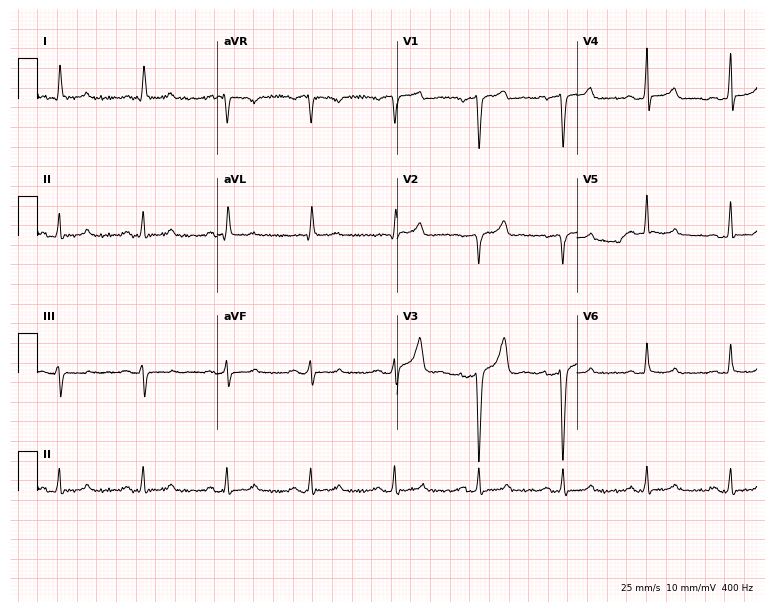
Resting 12-lead electrocardiogram (7.3-second recording at 400 Hz). Patient: a man, 68 years old. None of these six findings is recorded: first-degree AV block, right bundle branch block, left bundle branch block, sinus bradycardia, atrial fibrillation, sinus tachycardia. Only these six findings were labelled.